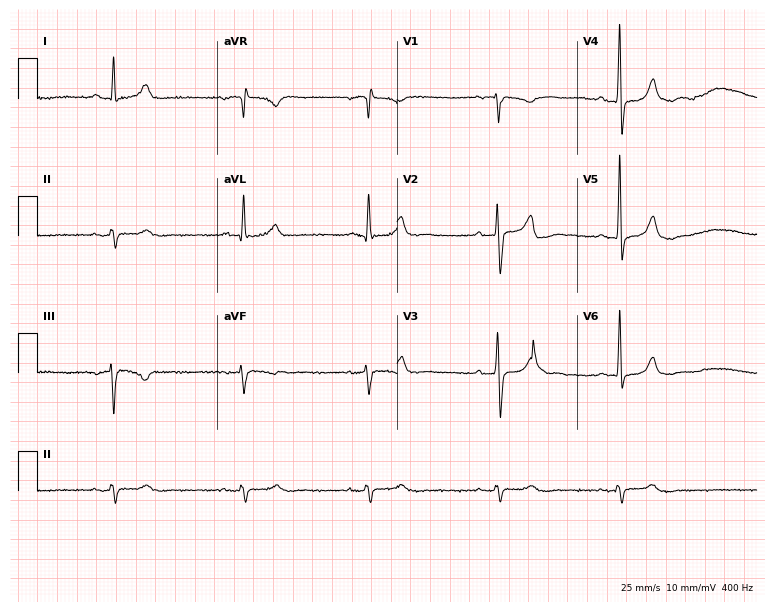
Resting 12-lead electrocardiogram (7.3-second recording at 400 Hz). Patient: an 85-year-old male. The tracing shows sinus bradycardia (a sinus rate of 50 beats per minute or less).